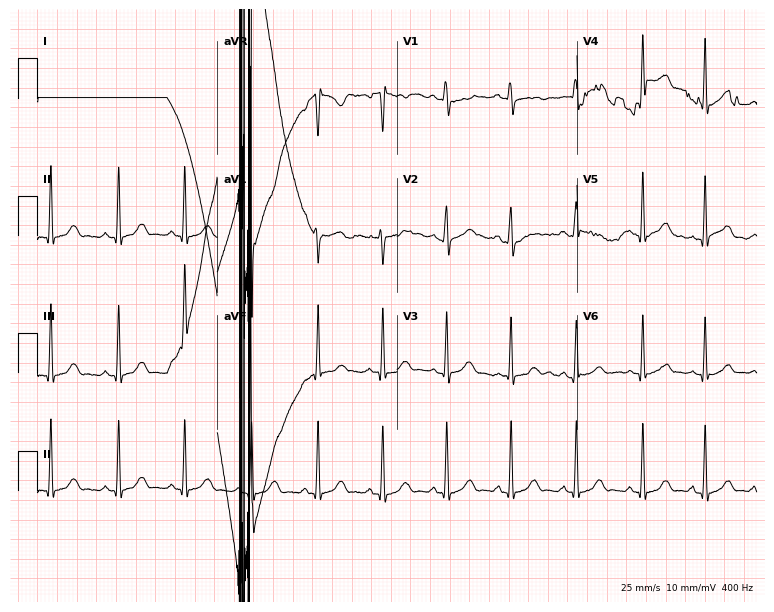
Standard 12-lead ECG recorded from a 24-year-old female (7.3-second recording at 400 Hz). Read as a normal ECG.